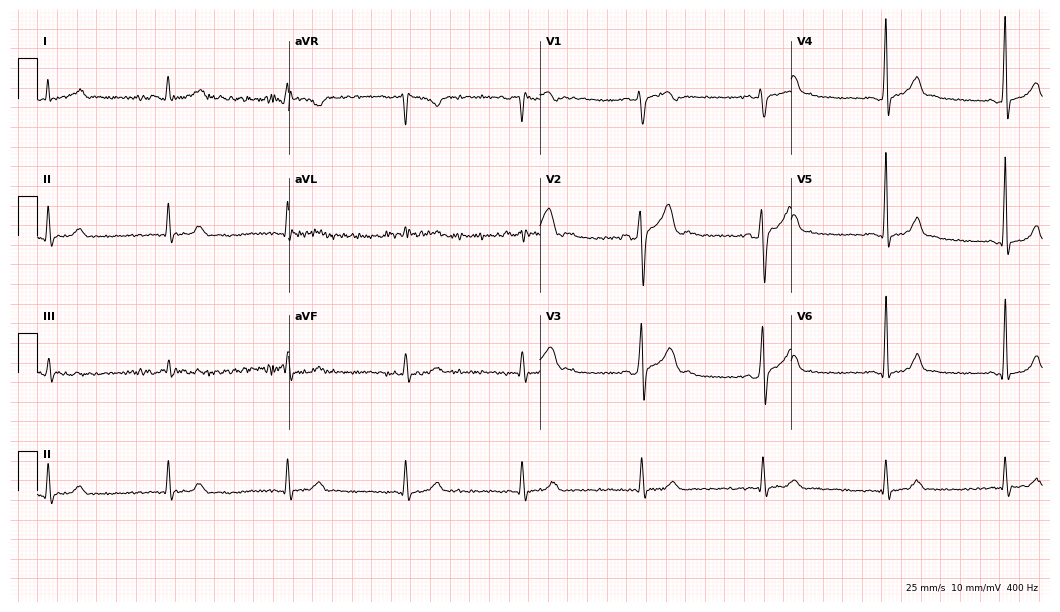
Electrocardiogram, a 30-year-old woman. Interpretation includes sinus bradycardia (a sinus rate of 50 beats per minute or less).